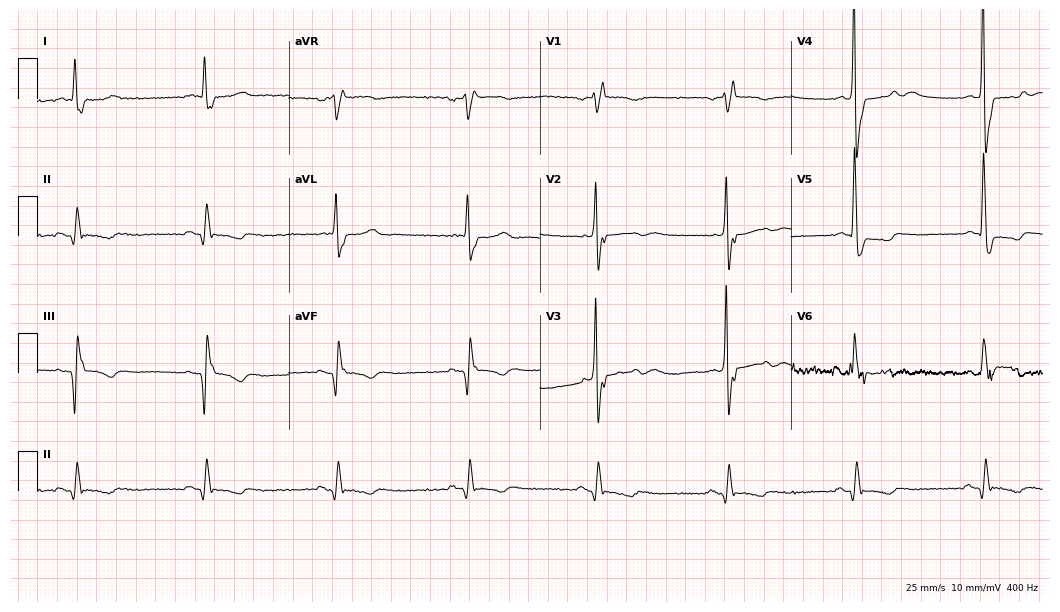
12-lead ECG from a woman, 83 years old. Findings include first-degree AV block, right bundle branch block, sinus bradycardia (a sinus rate of 50 beats per minute or less).